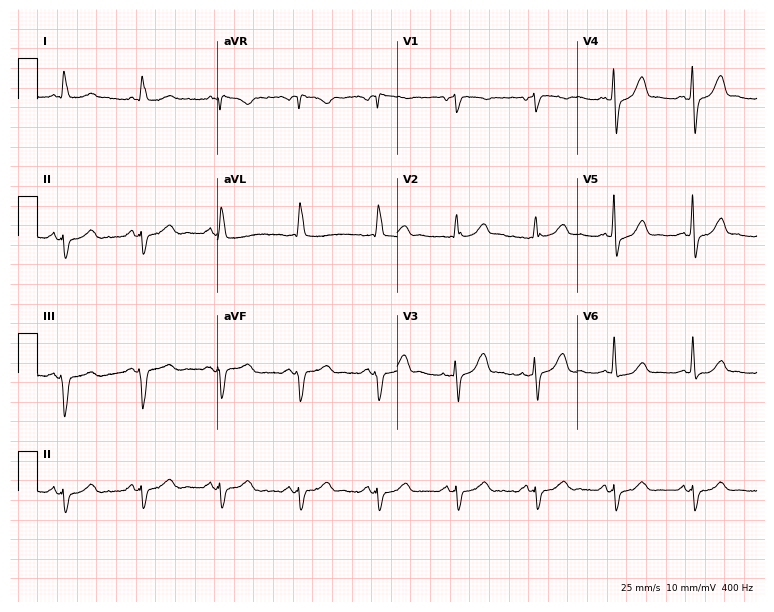
Standard 12-lead ECG recorded from a 61-year-old man. None of these six findings is recorded: first-degree AV block, right bundle branch block (RBBB), left bundle branch block (LBBB), sinus bradycardia, atrial fibrillation (AF), sinus tachycardia.